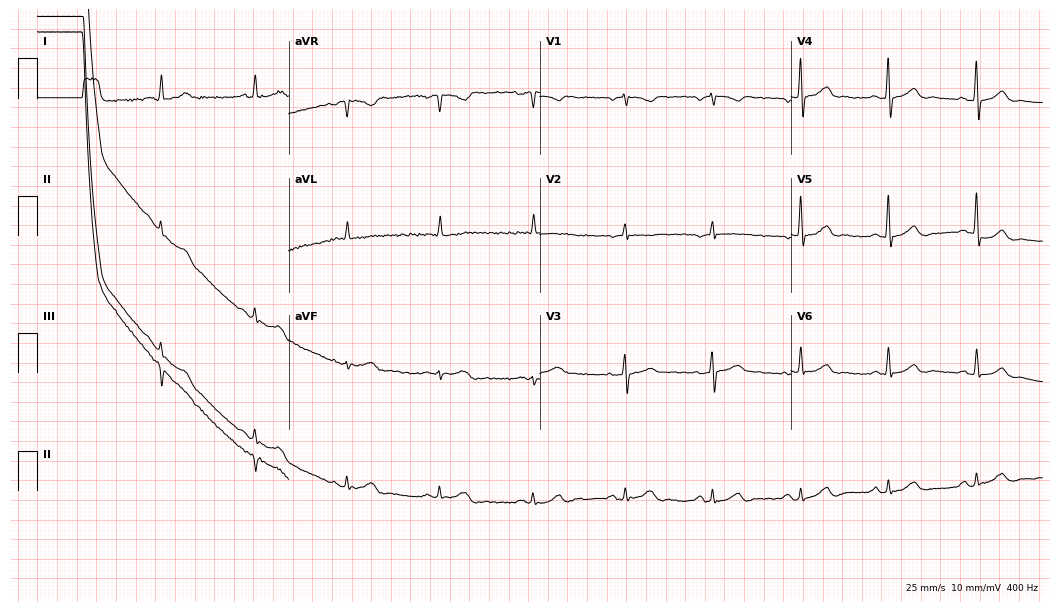
12-lead ECG from a 68-year-old male patient. Labelled as a normal ECG.